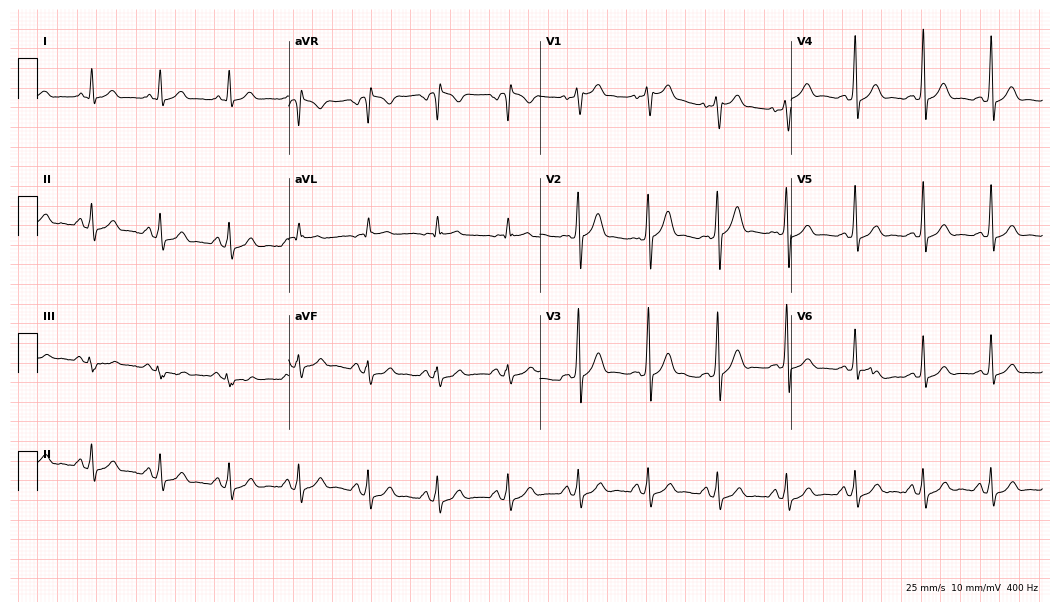
Standard 12-lead ECG recorded from a 33-year-old male patient. Read as a normal ECG.